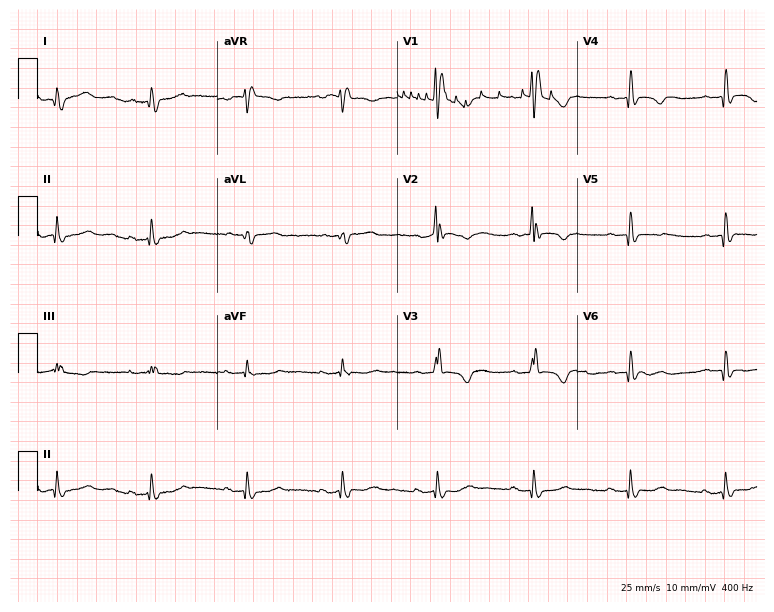
Electrocardiogram (7.3-second recording at 400 Hz), a 42-year-old female patient. Interpretation includes right bundle branch block.